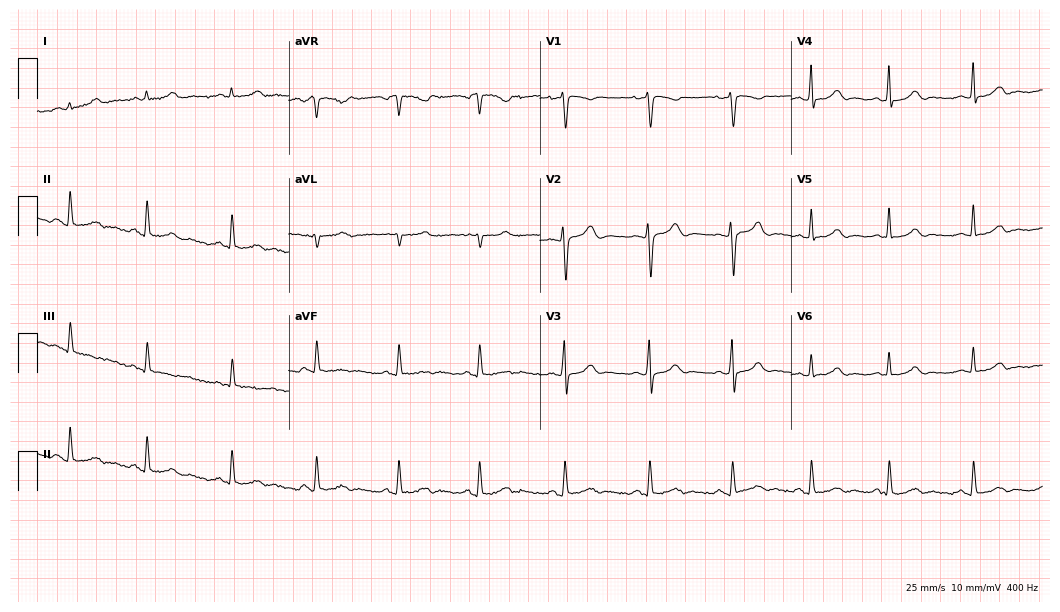
Resting 12-lead electrocardiogram. Patient: a female, 20 years old. Read as a normal ECG.